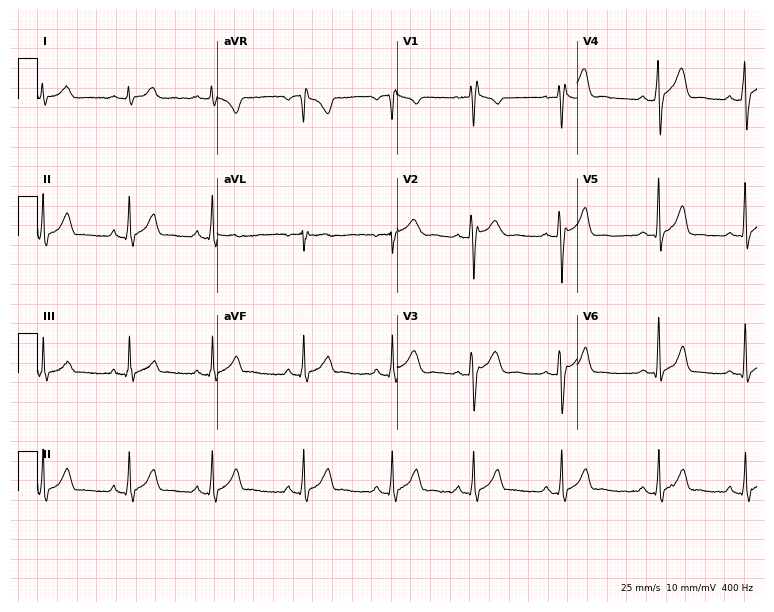
Standard 12-lead ECG recorded from a male patient, 20 years old. None of these six findings is recorded: first-degree AV block, right bundle branch block (RBBB), left bundle branch block (LBBB), sinus bradycardia, atrial fibrillation (AF), sinus tachycardia.